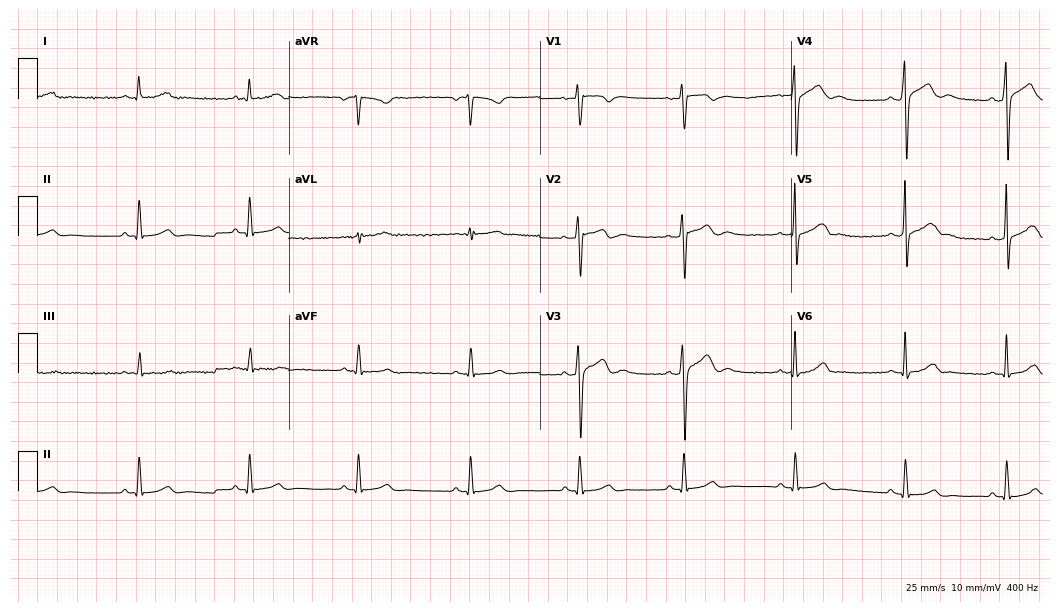
Resting 12-lead electrocardiogram. Patient: a 26-year-old man. Read as a normal ECG.